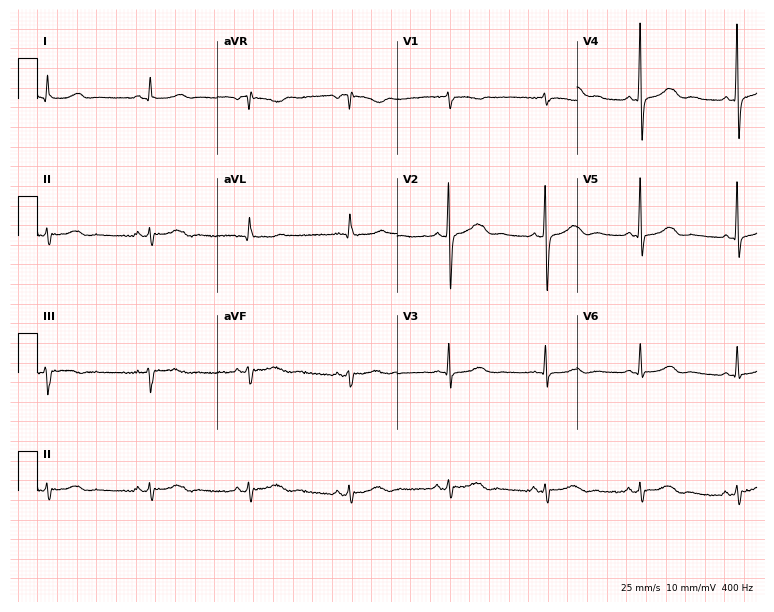
12-lead ECG (7.3-second recording at 400 Hz) from a man, 62 years old. Labelled as a normal ECG.